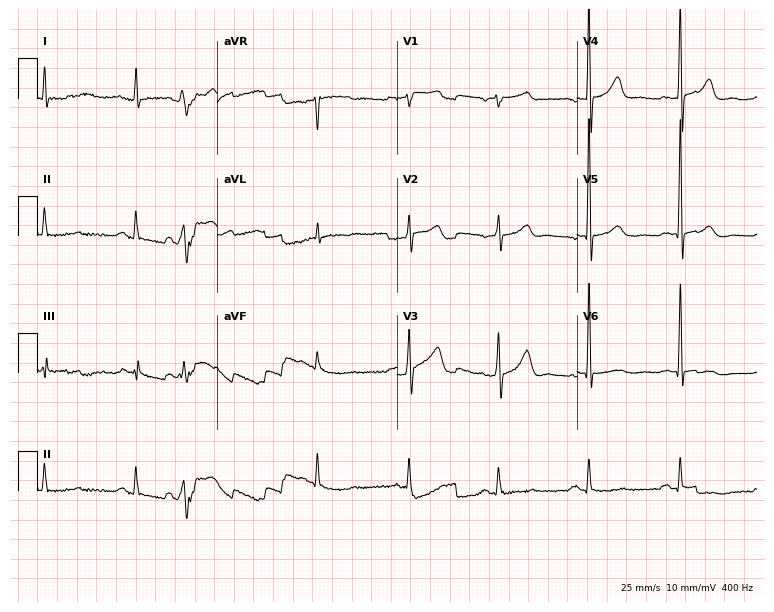
12-lead ECG (7.3-second recording at 400 Hz) from an 84-year-old man. Screened for six findings — first-degree AV block, right bundle branch block, left bundle branch block, sinus bradycardia, atrial fibrillation, sinus tachycardia — none is recorded.